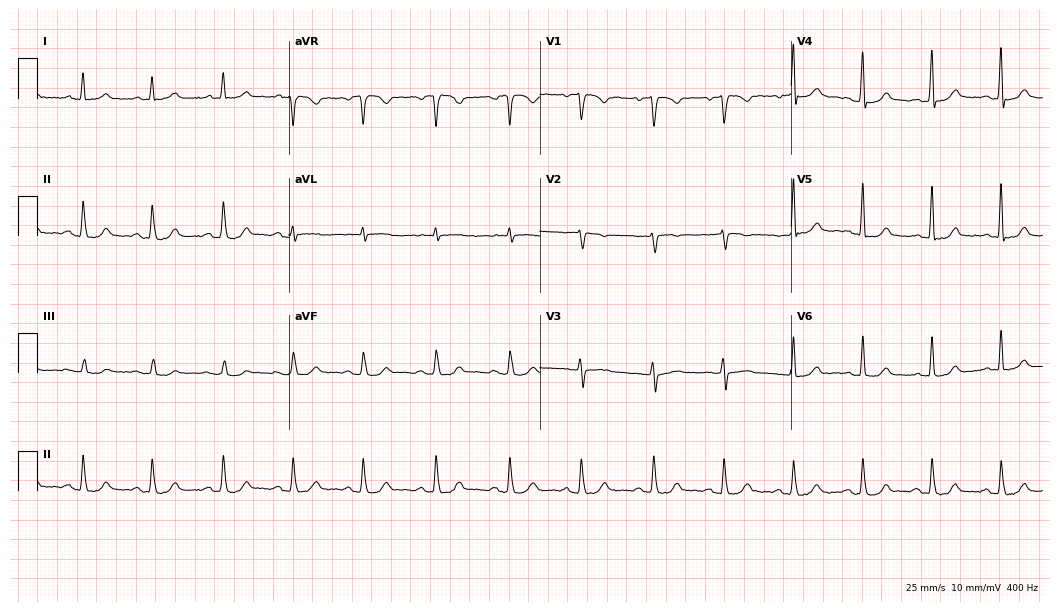
Resting 12-lead electrocardiogram. Patient: a man, 70 years old. Read as a normal ECG.